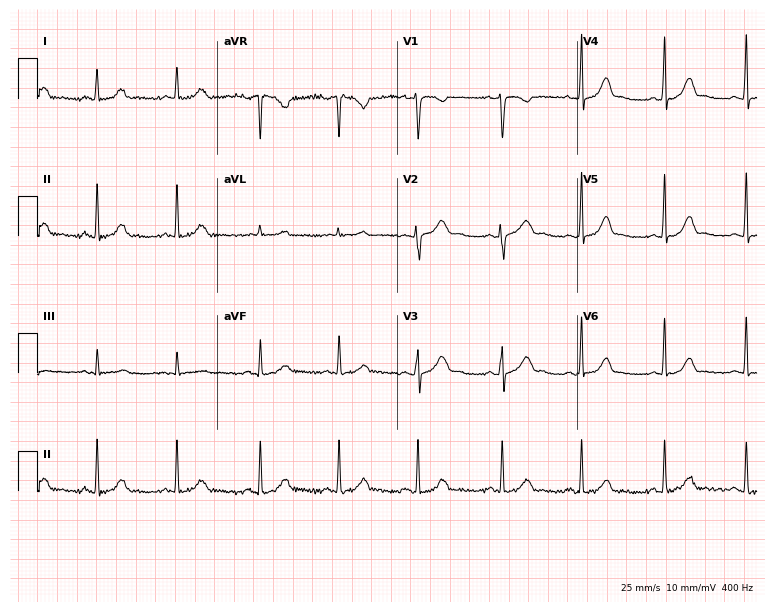
12-lead ECG from a 22-year-old woman. Labelled as a normal ECG.